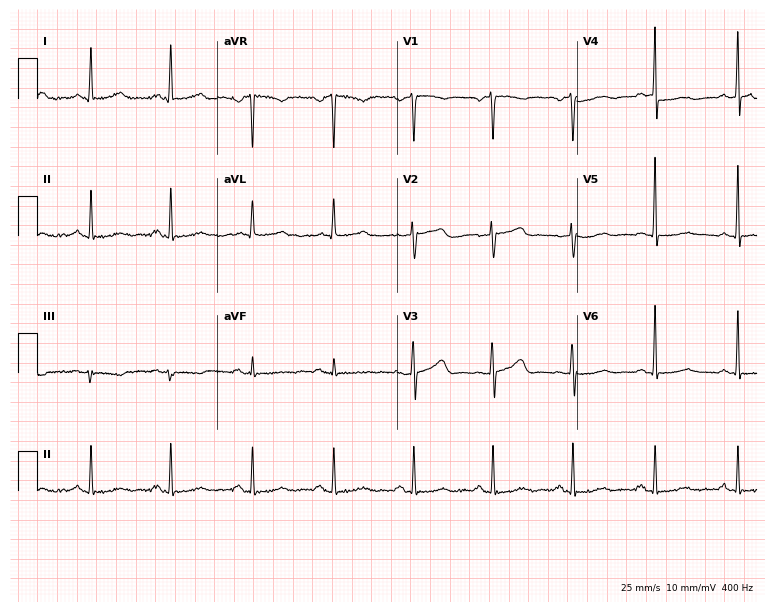
Resting 12-lead electrocardiogram. Patient: a female, 51 years old. None of these six findings is recorded: first-degree AV block, right bundle branch block, left bundle branch block, sinus bradycardia, atrial fibrillation, sinus tachycardia. Findings outside these six are not listed.